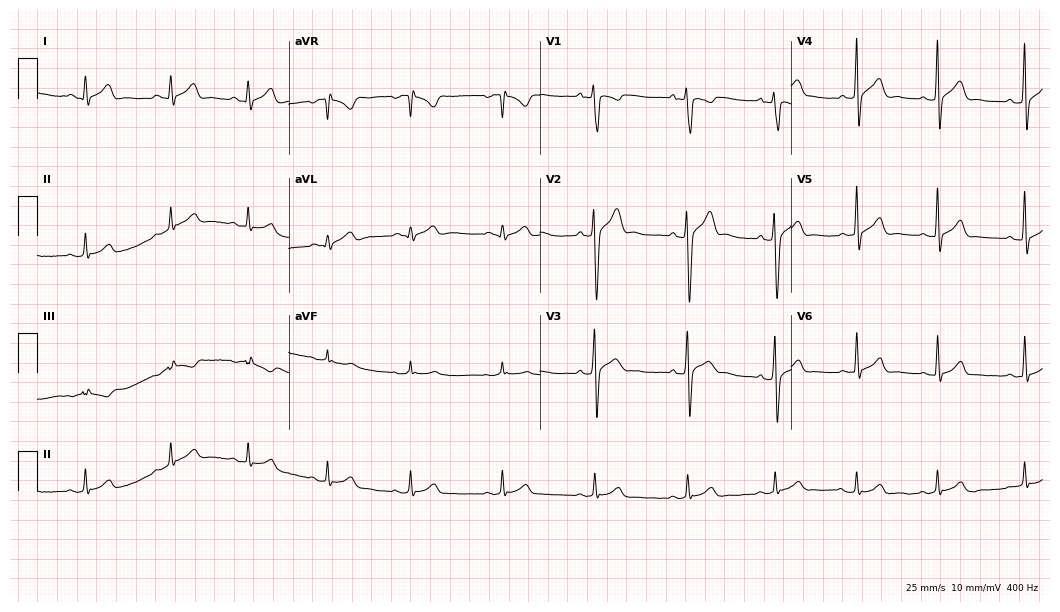
Resting 12-lead electrocardiogram (10.2-second recording at 400 Hz). Patient: a 20-year-old male. Read as a normal ECG.